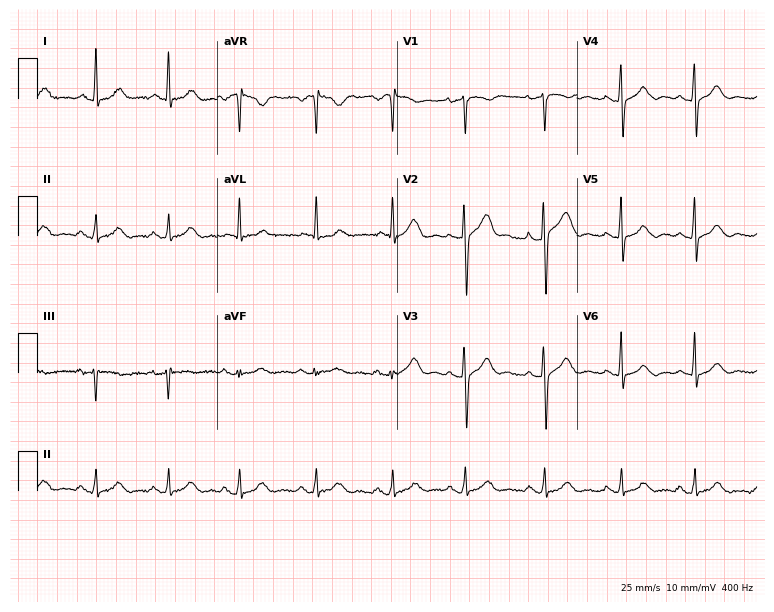
Standard 12-lead ECG recorded from a 72-year-old woman (7.3-second recording at 400 Hz). None of these six findings is recorded: first-degree AV block, right bundle branch block (RBBB), left bundle branch block (LBBB), sinus bradycardia, atrial fibrillation (AF), sinus tachycardia.